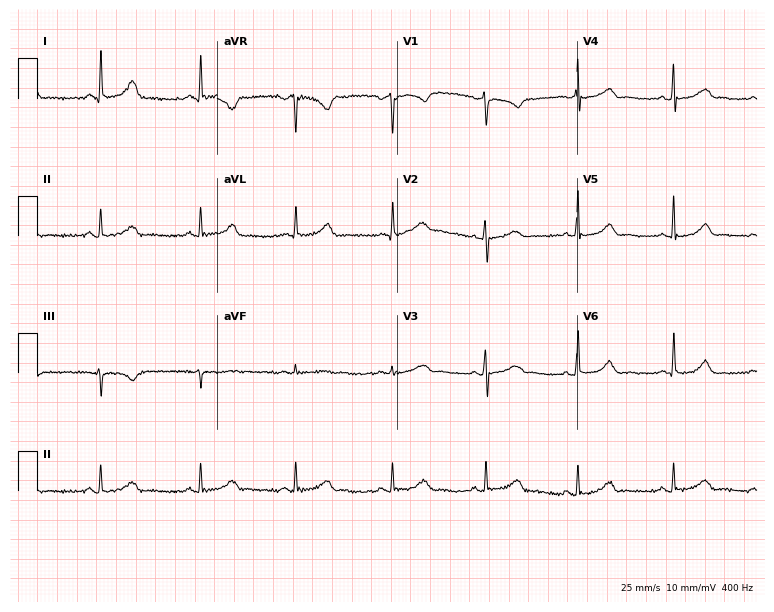
Standard 12-lead ECG recorded from a 47-year-old female patient (7.3-second recording at 400 Hz). Read as a normal ECG.